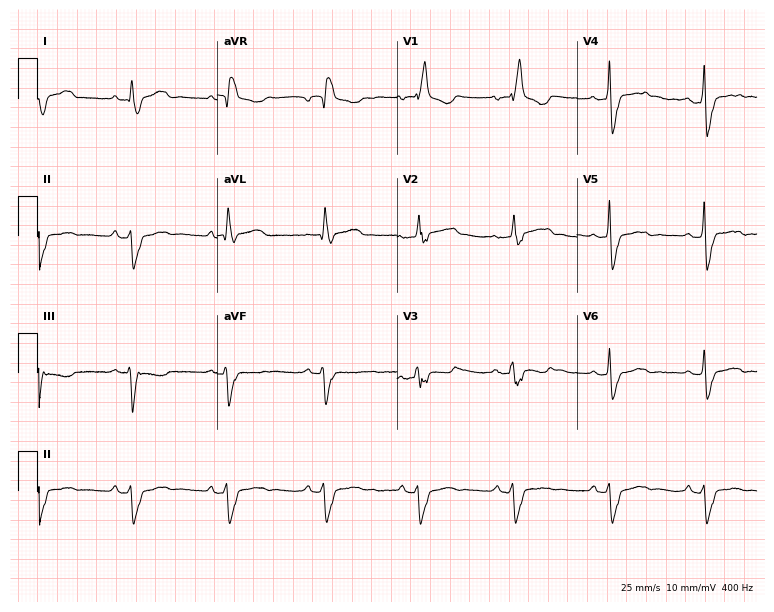
12-lead ECG from a male patient, 47 years old. Shows right bundle branch block (RBBB).